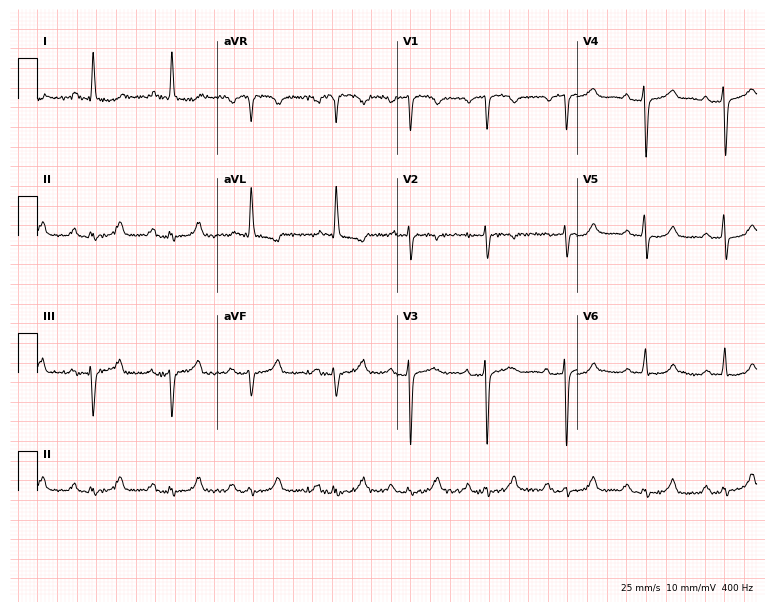
Standard 12-lead ECG recorded from a 79-year-old woman. None of these six findings is recorded: first-degree AV block, right bundle branch block (RBBB), left bundle branch block (LBBB), sinus bradycardia, atrial fibrillation (AF), sinus tachycardia. Findings outside these six are not listed.